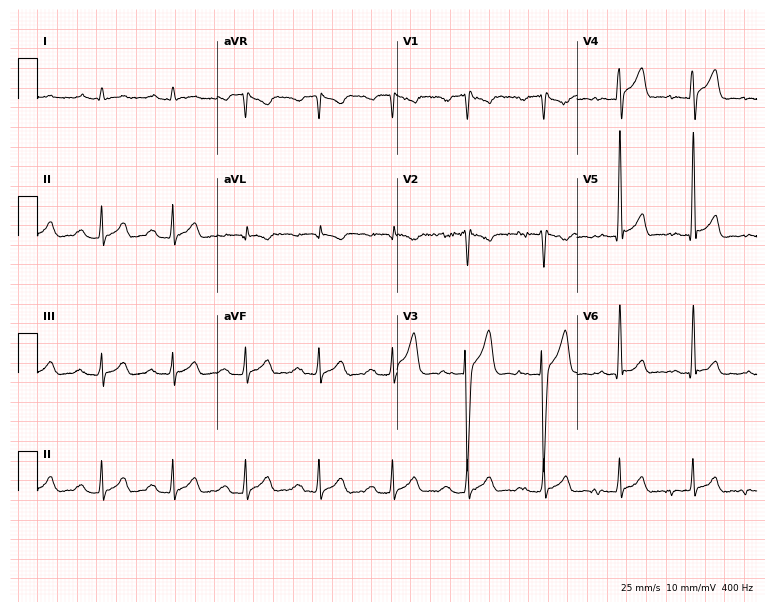
Resting 12-lead electrocardiogram. Patient: a male, 37 years old. The tracing shows first-degree AV block.